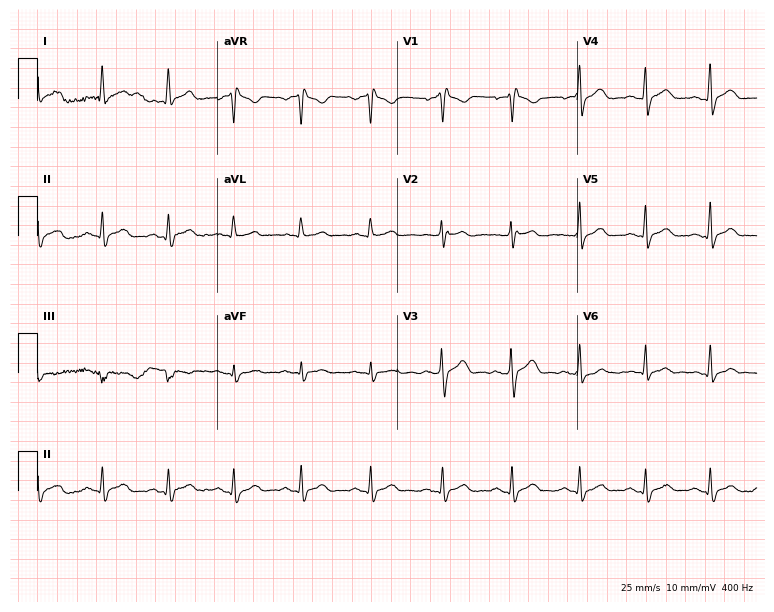
Electrocardiogram, a 35-year-old male patient. Of the six screened findings (first-degree AV block, right bundle branch block, left bundle branch block, sinus bradycardia, atrial fibrillation, sinus tachycardia), none is recorded. Other findings, if any, are not listed.